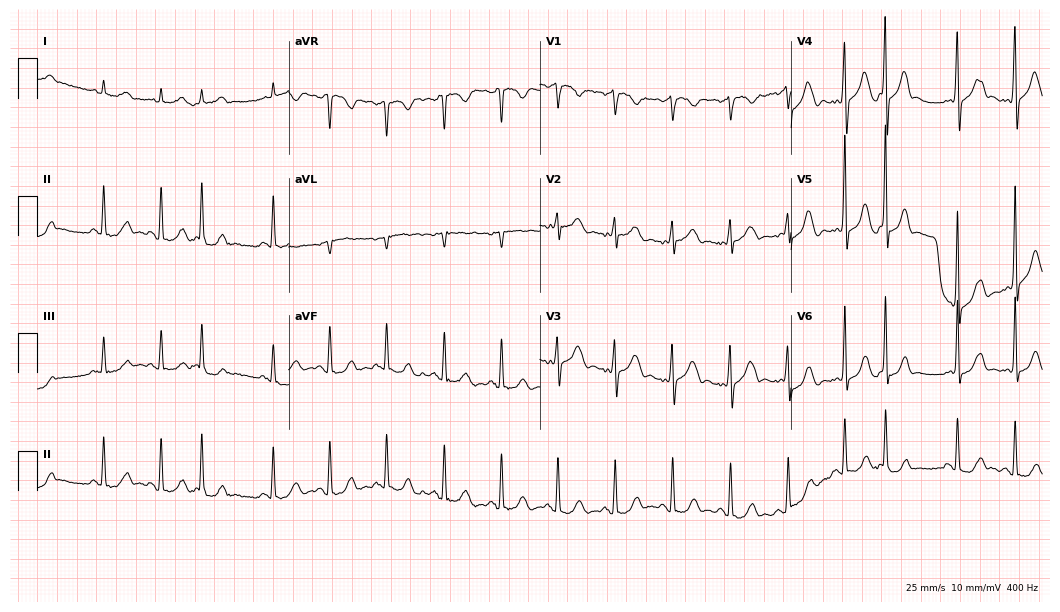
Electrocardiogram, a 73-year-old female patient. Interpretation includes sinus tachycardia (a sinus rate of 100 beats per minute or more).